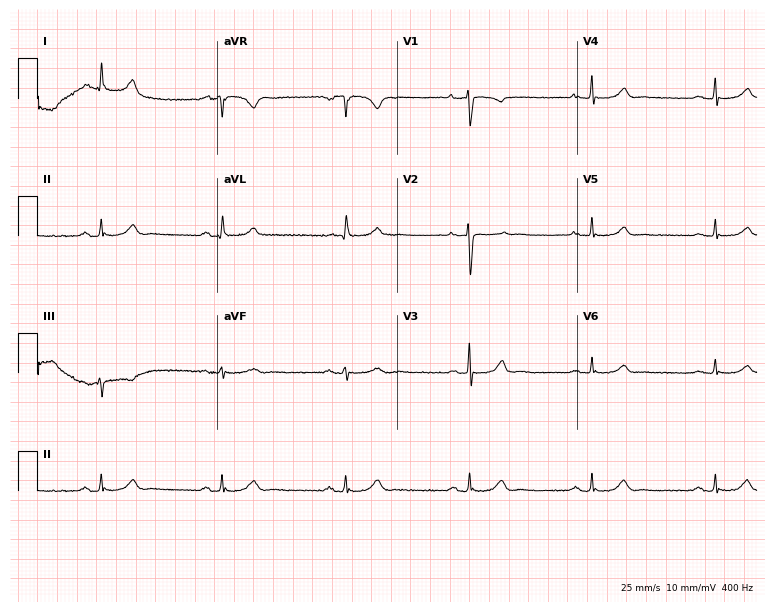
12-lead ECG from a female patient, 55 years old. Findings include sinus bradycardia (a sinus rate of 50 beats per minute or less).